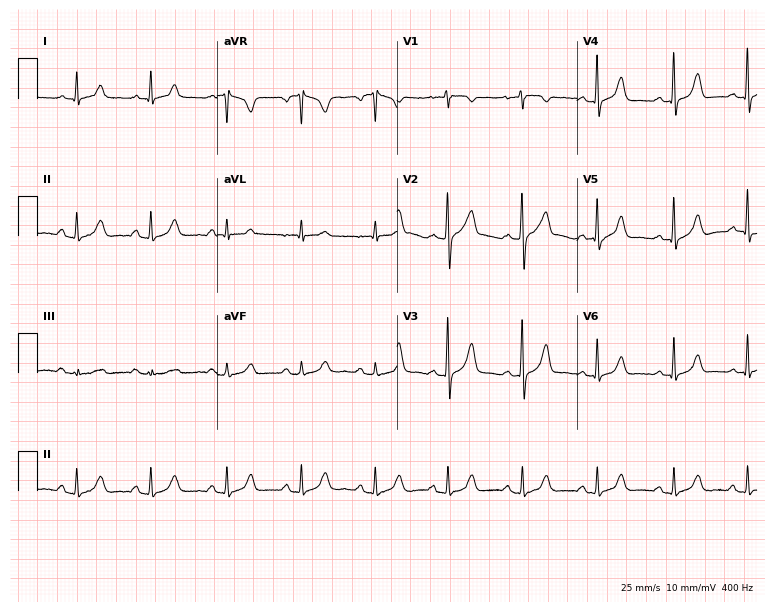
Standard 12-lead ECG recorded from a 45-year-old female. Read as a normal ECG.